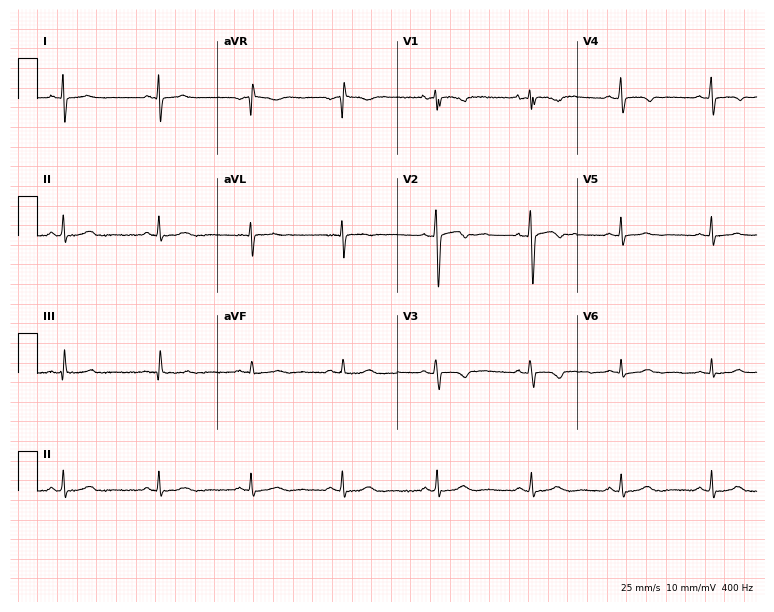
Electrocardiogram (7.3-second recording at 400 Hz), a female patient, 35 years old. Of the six screened findings (first-degree AV block, right bundle branch block, left bundle branch block, sinus bradycardia, atrial fibrillation, sinus tachycardia), none is recorded.